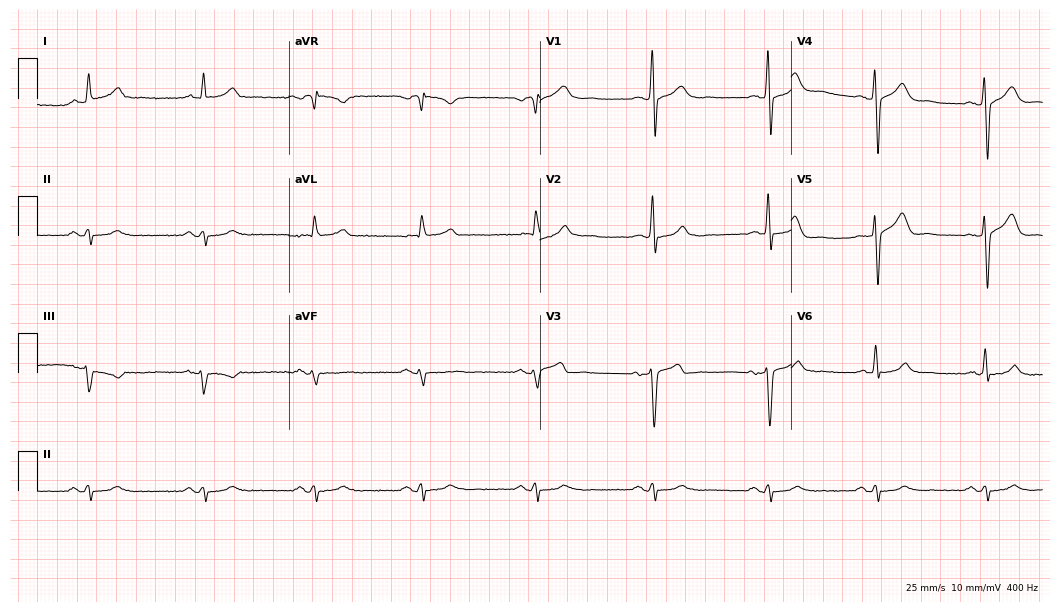
12-lead ECG from a man, 54 years old. No first-degree AV block, right bundle branch block, left bundle branch block, sinus bradycardia, atrial fibrillation or sinus tachycardia recorded for this tracing.